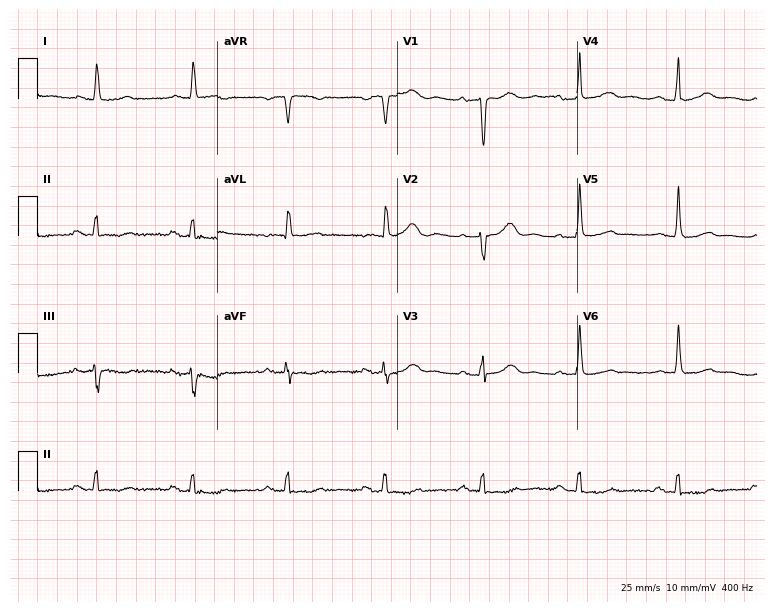
Resting 12-lead electrocardiogram. Patient: a 64-year-old woman. None of these six findings is recorded: first-degree AV block, right bundle branch block, left bundle branch block, sinus bradycardia, atrial fibrillation, sinus tachycardia.